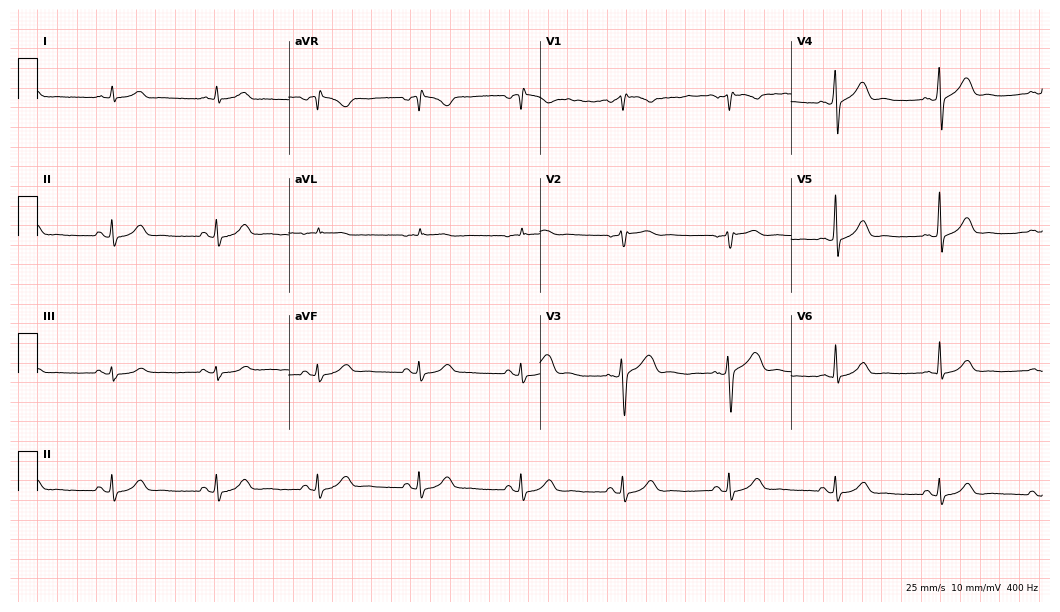
Electrocardiogram (10.2-second recording at 400 Hz), a male, 55 years old. Overall reading on record: normal ECG.